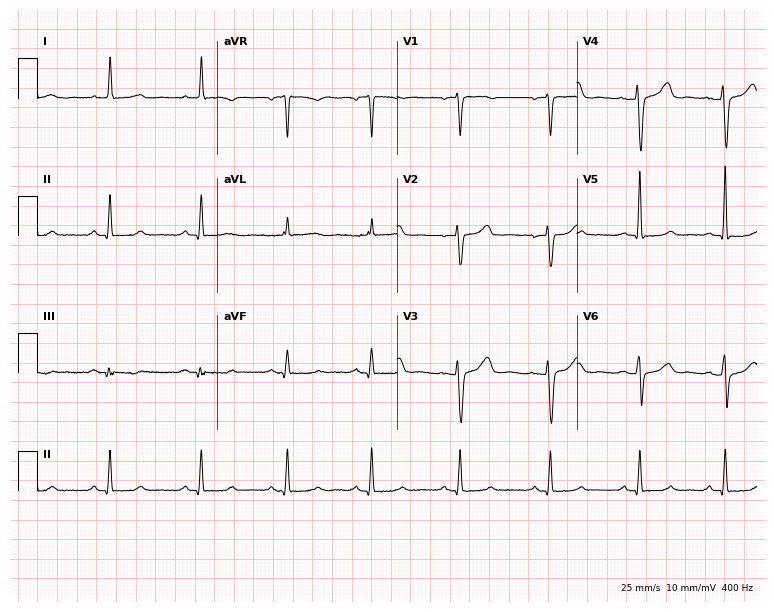
12-lead ECG from a female patient, 46 years old (7.3-second recording at 400 Hz). Recorded interpretation: within normal limits.